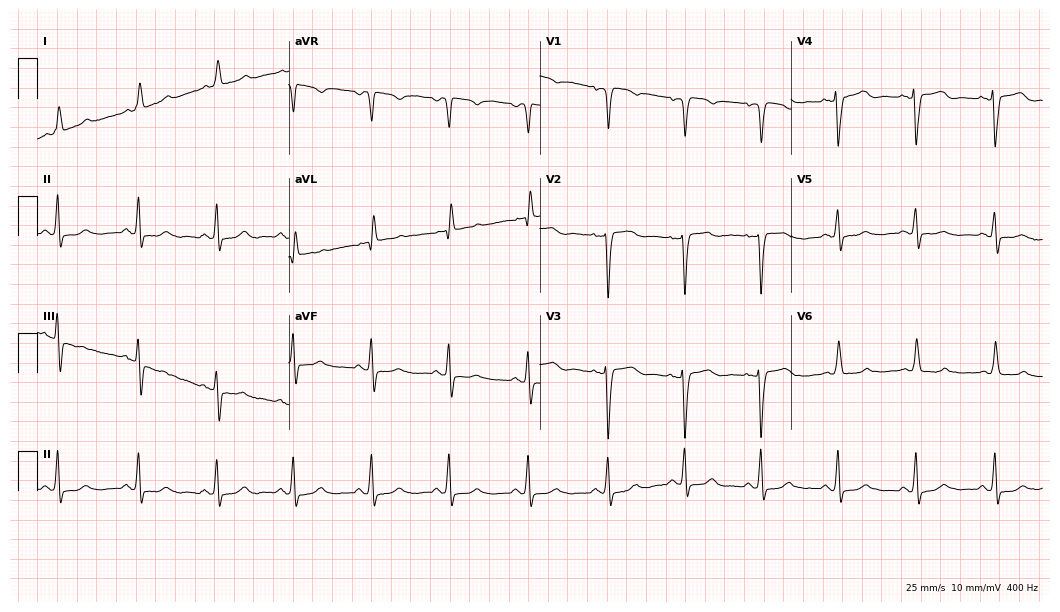
12-lead ECG from a female patient, 67 years old (10.2-second recording at 400 Hz). No first-degree AV block, right bundle branch block (RBBB), left bundle branch block (LBBB), sinus bradycardia, atrial fibrillation (AF) or sinus tachycardia recorded for this tracing. Other findings, if any, are not listed.